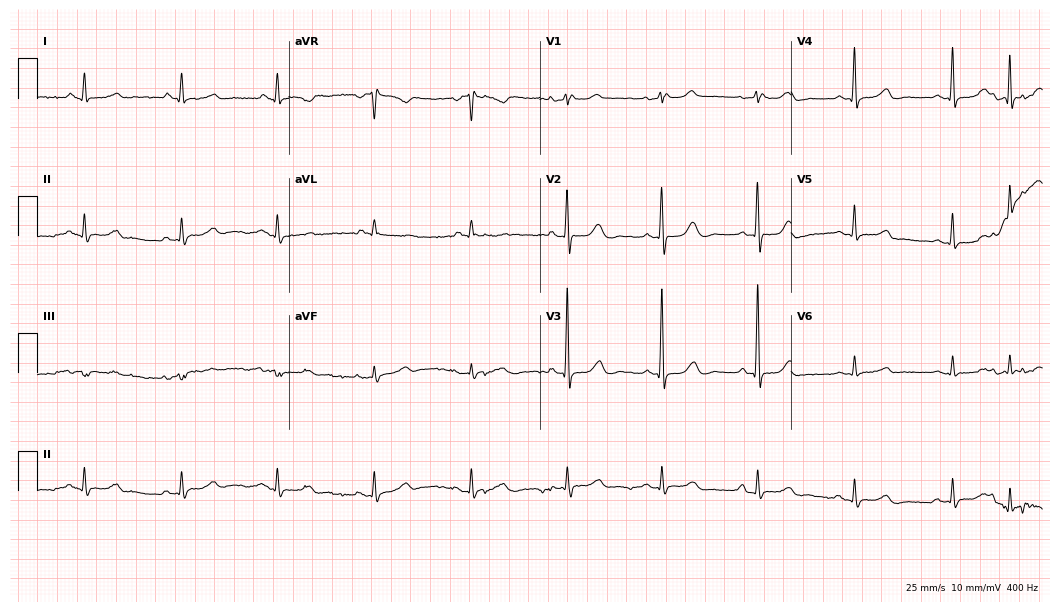
Standard 12-lead ECG recorded from a 71-year-old woman (10.2-second recording at 400 Hz). None of these six findings is recorded: first-degree AV block, right bundle branch block, left bundle branch block, sinus bradycardia, atrial fibrillation, sinus tachycardia.